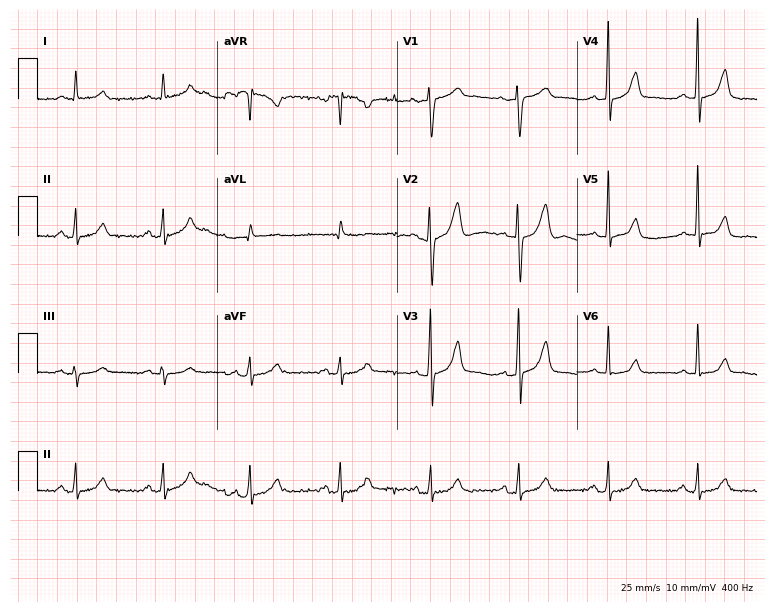
12-lead ECG from a 63-year-old male patient. Labelled as a normal ECG.